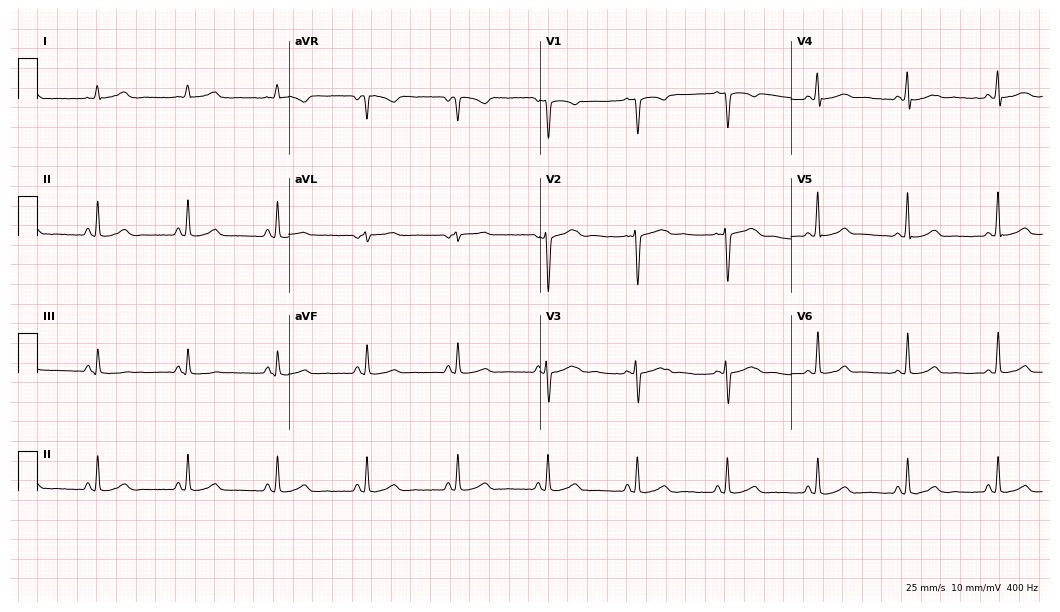
Standard 12-lead ECG recorded from a woman, 28 years old (10.2-second recording at 400 Hz). Read as a normal ECG.